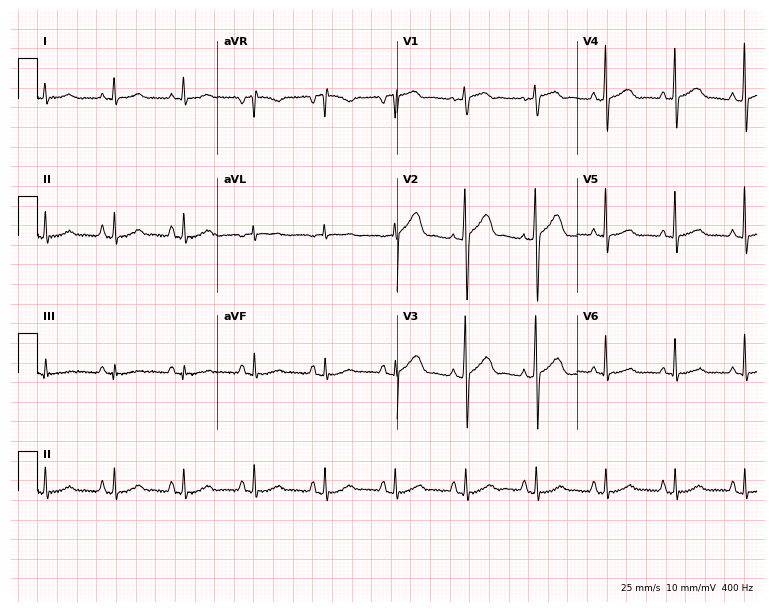
12-lead ECG from a male patient, 56 years old. Screened for six findings — first-degree AV block, right bundle branch block, left bundle branch block, sinus bradycardia, atrial fibrillation, sinus tachycardia — none is recorded. Other findings, if any, are not listed.